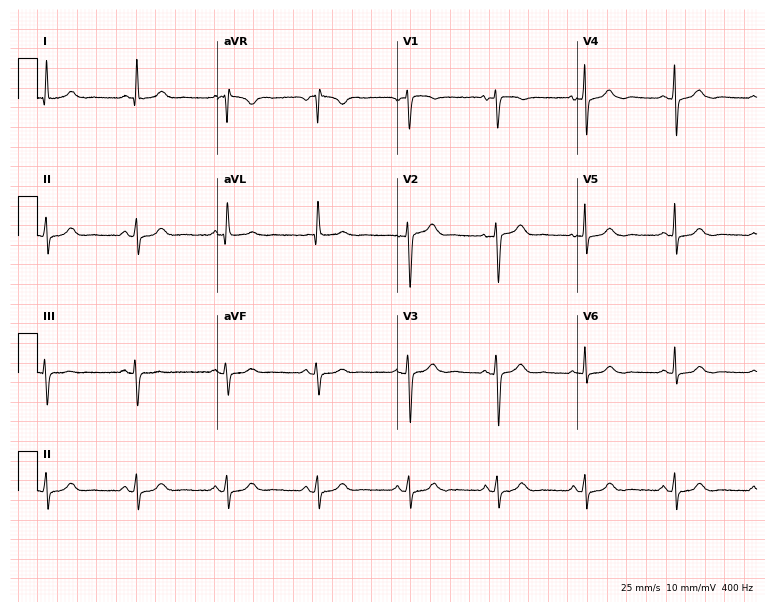
Resting 12-lead electrocardiogram. Patient: a female, 75 years old. None of these six findings is recorded: first-degree AV block, right bundle branch block, left bundle branch block, sinus bradycardia, atrial fibrillation, sinus tachycardia.